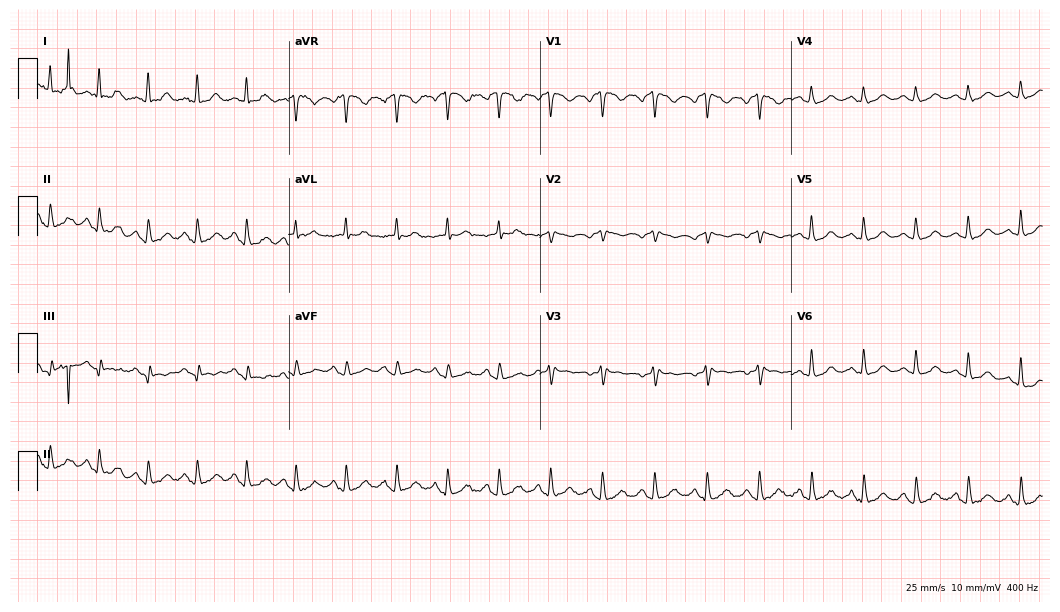
ECG — a 39-year-old female. Screened for six findings — first-degree AV block, right bundle branch block, left bundle branch block, sinus bradycardia, atrial fibrillation, sinus tachycardia — none is recorded. Only these six findings were labelled.